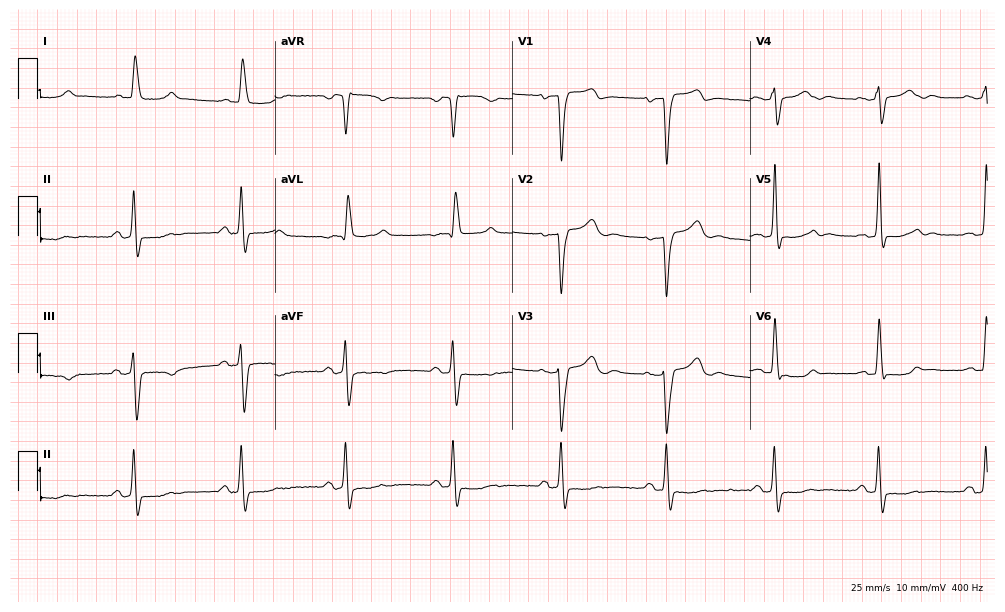
12-lead ECG from an 81-year-old female (9.7-second recording at 400 Hz). Shows left bundle branch block (LBBB).